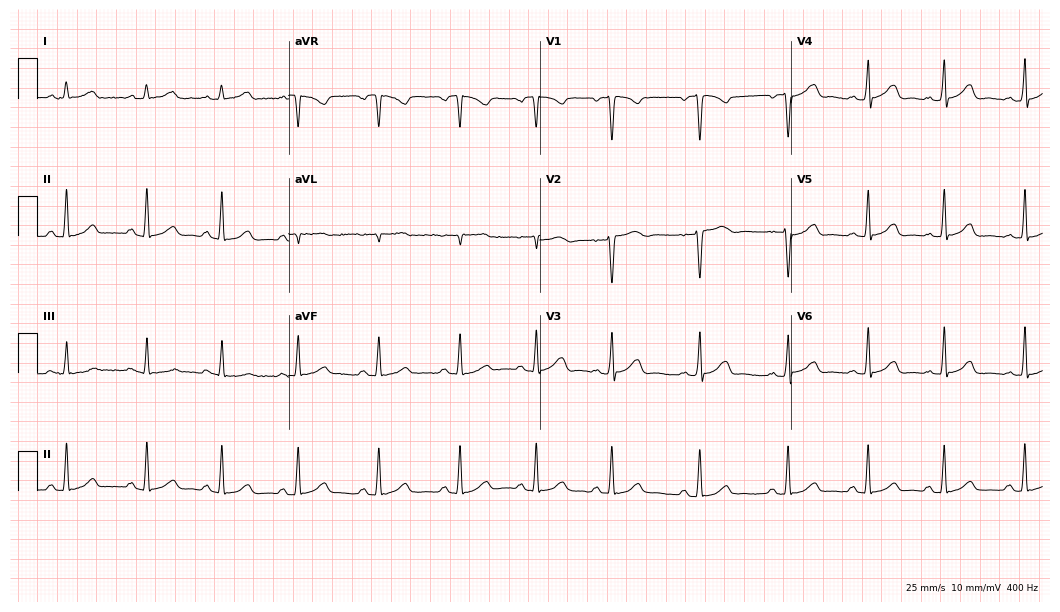
Resting 12-lead electrocardiogram (10.2-second recording at 400 Hz). Patient: a female, 25 years old. Read as a normal ECG.